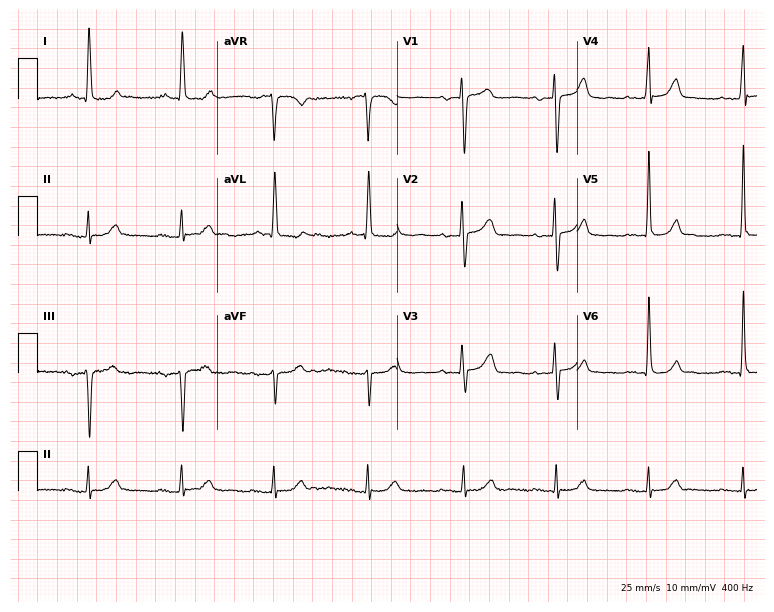
12-lead ECG (7.3-second recording at 400 Hz) from an 83-year-old female patient. Labelled as a normal ECG.